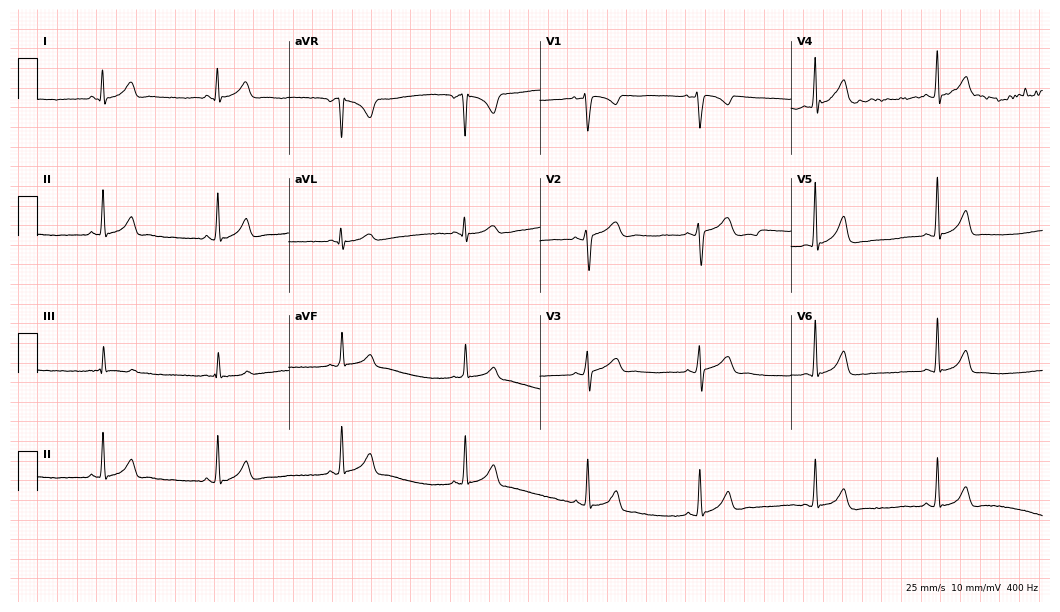
Standard 12-lead ECG recorded from a female patient, 19 years old. The tracing shows sinus bradycardia (a sinus rate of 50 beats per minute or less).